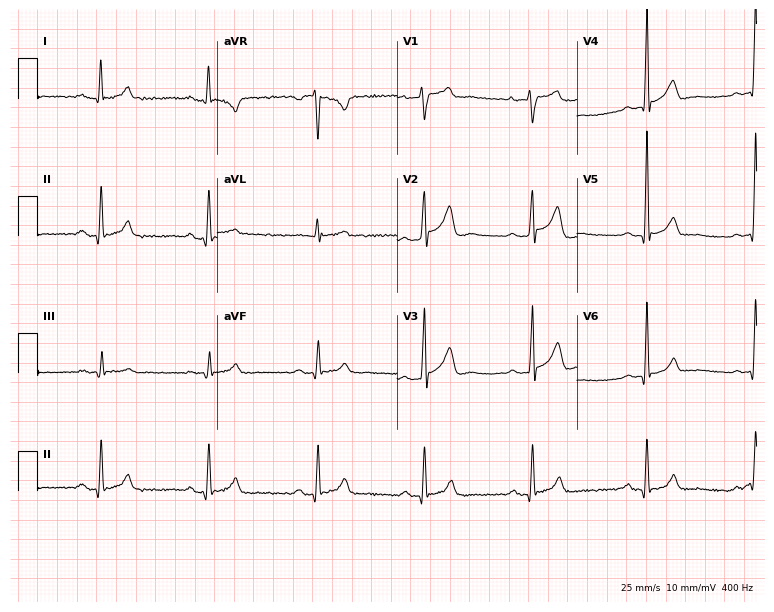
12-lead ECG (7.3-second recording at 400 Hz) from a 20-year-old male patient. Screened for six findings — first-degree AV block, right bundle branch block, left bundle branch block, sinus bradycardia, atrial fibrillation, sinus tachycardia — none is recorded. Other findings, if any, are not listed.